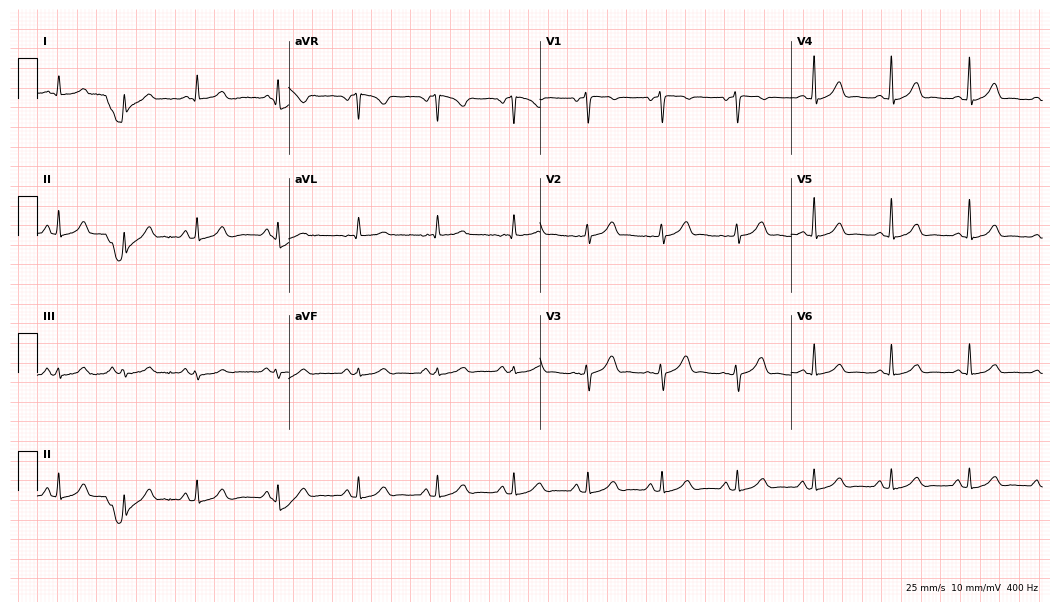
12-lead ECG from a 47-year-old female. Recorded interpretation: within normal limits.